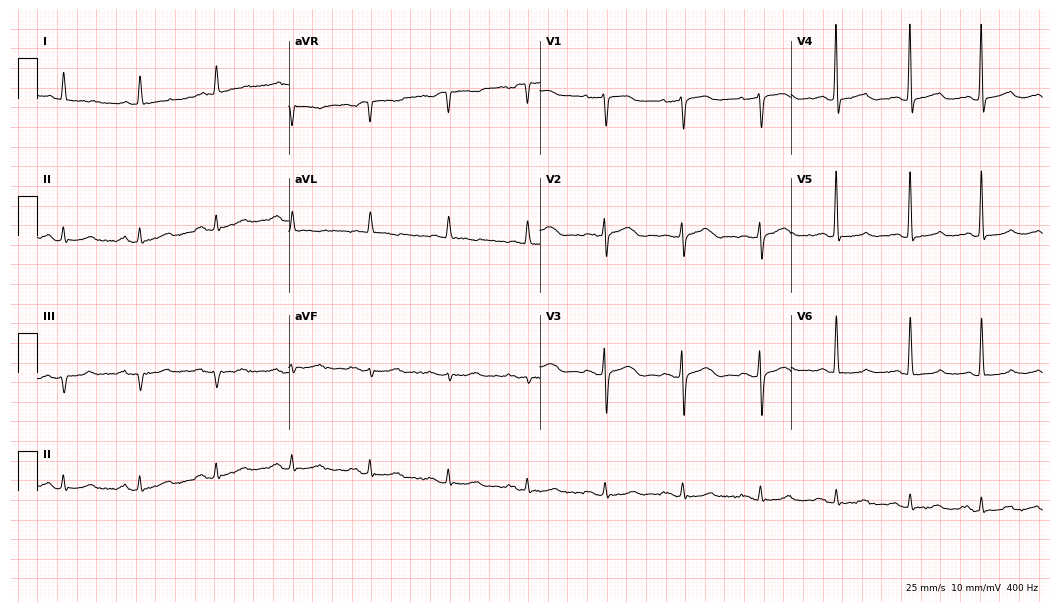
Resting 12-lead electrocardiogram. Patient: a female, 72 years old. Read as a normal ECG.